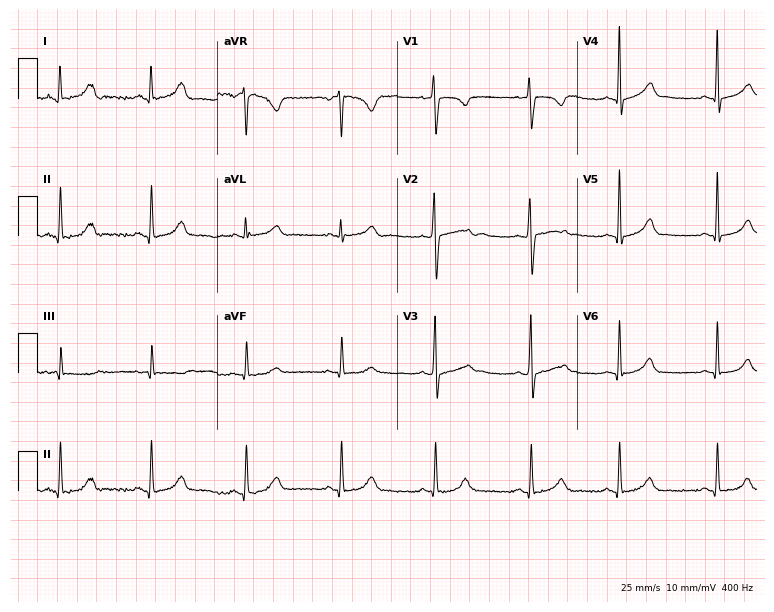
Resting 12-lead electrocardiogram. Patient: a 24-year-old female. Read as a normal ECG.